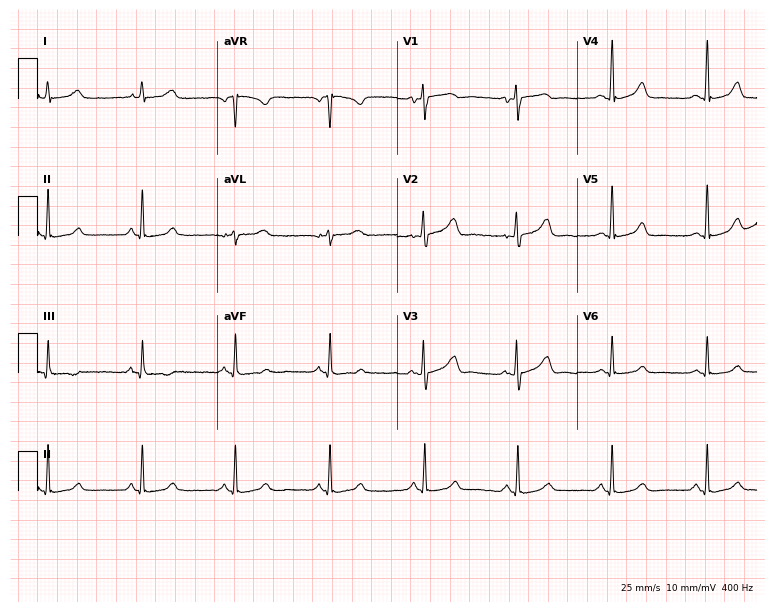
Standard 12-lead ECG recorded from a 30-year-old female. None of these six findings is recorded: first-degree AV block, right bundle branch block (RBBB), left bundle branch block (LBBB), sinus bradycardia, atrial fibrillation (AF), sinus tachycardia.